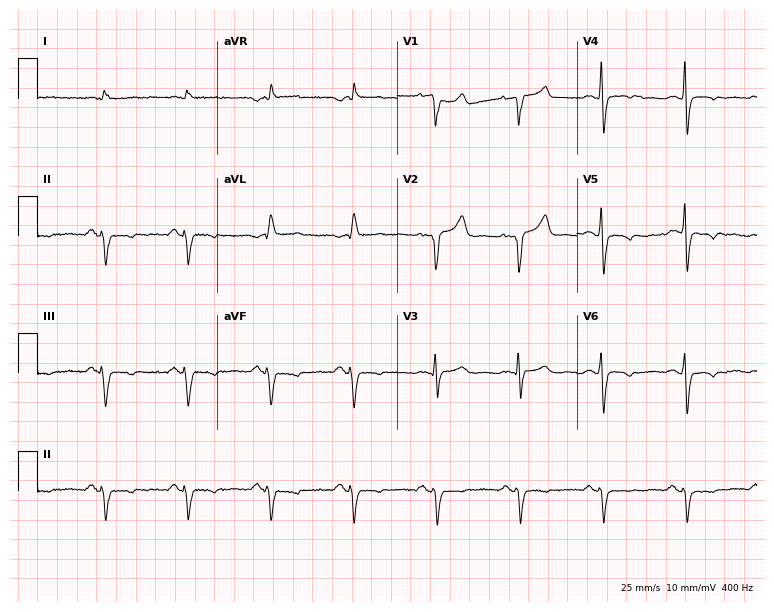
Standard 12-lead ECG recorded from a male patient, 69 years old (7.3-second recording at 400 Hz). None of these six findings is recorded: first-degree AV block, right bundle branch block, left bundle branch block, sinus bradycardia, atrial fibrillation, sinus tachycardia.